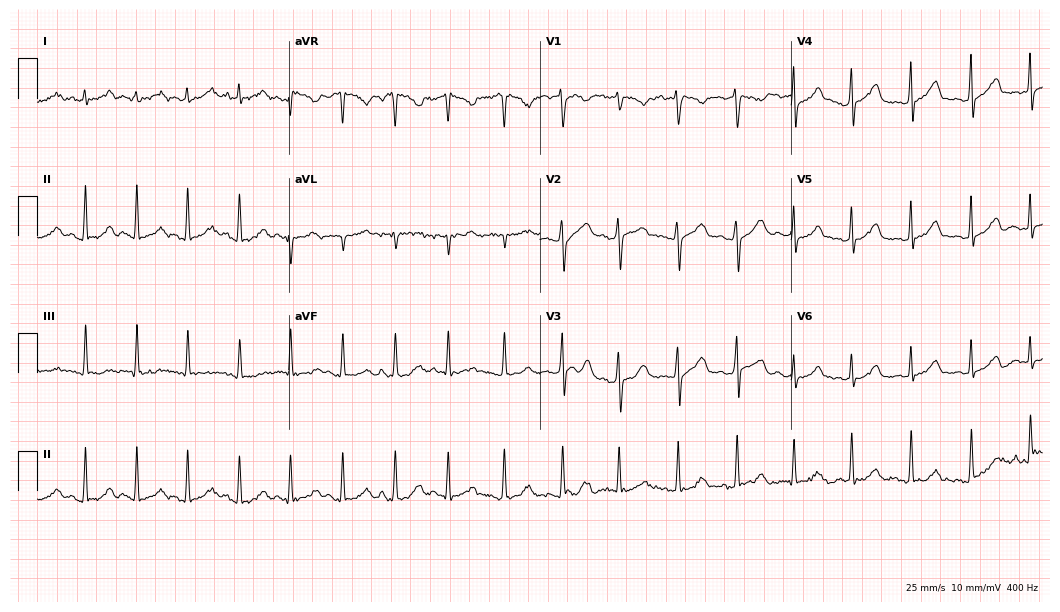
Electrocardiogram (10.2-second recording at 400 Hz), a 27-year-old woman. Interpretation includes sinus tachycardia (a sinus rate of 100 beats per minute or more).